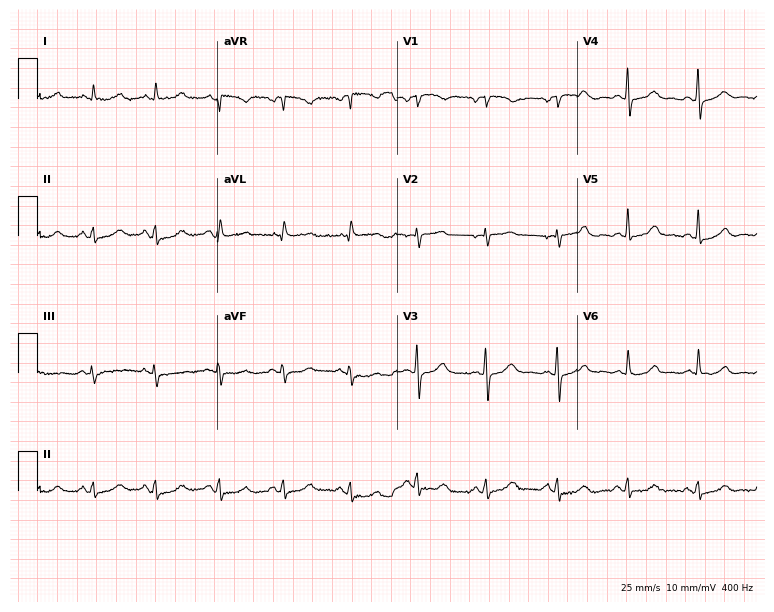
12-lead ECG from a female patient, 53 years old. Screened for six findings — first-degree AV block, right bundle branch block, left bundle branch block, sinus bradycardia, atrial fibrillation, sinus tachycardia — none is recorded.